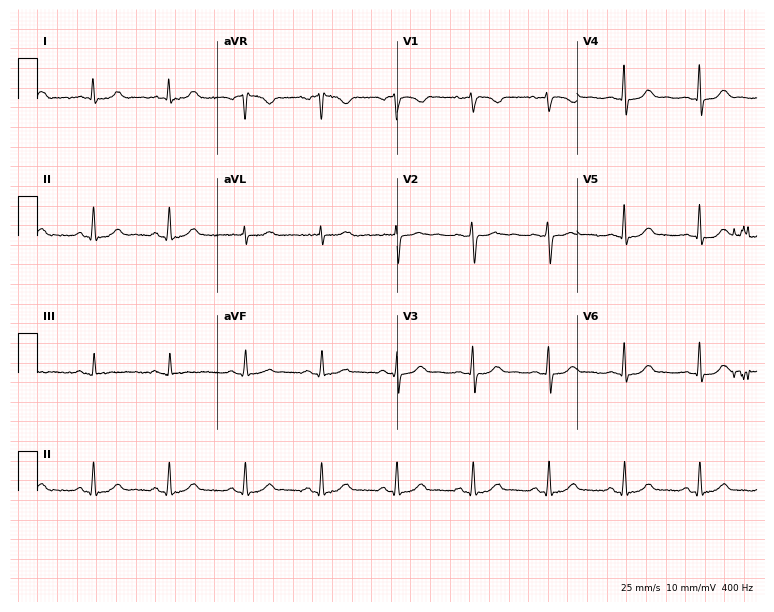
12-lead ECG from a 46-year-old female patient (7.3-second recording at 400 Hz). Recorded interpretation: within normal limits.